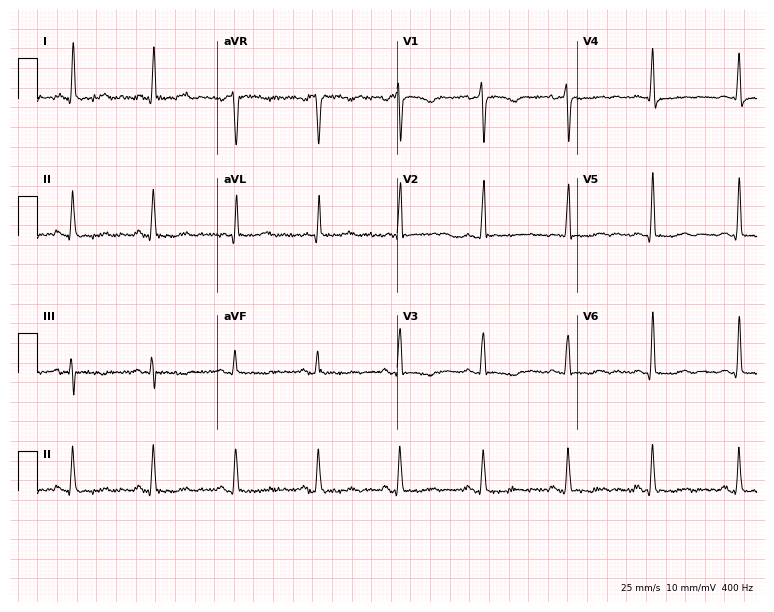
Electrocardiogram (7.3-second recording at 400 Hz), a female patient, 67 years old. Of the six screened findings (first-degree AV block, right bundle branch block, left bundle branch block, sinus bradycardia, atrial fibrillation, sinus tachycardia), none is recorded. Only these six findings were labelled.